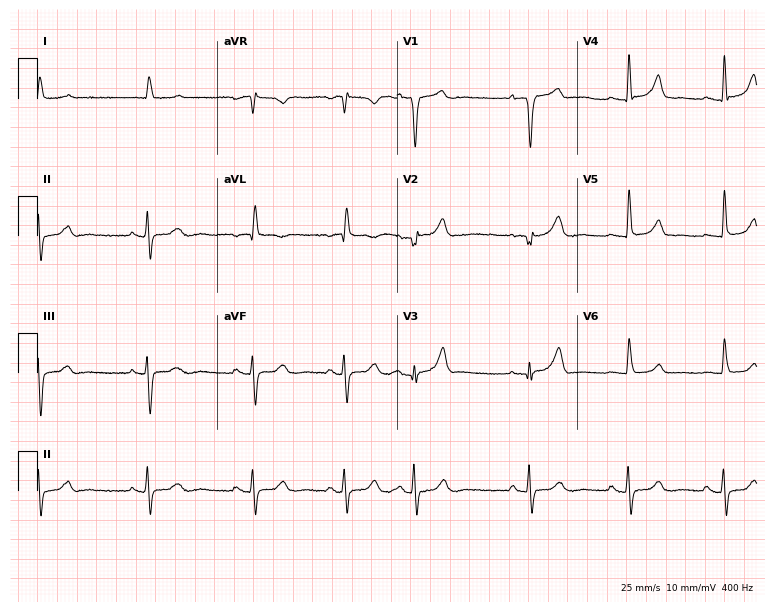
12-lead ECG from a woman, 77 years old (7.3-second recording at 400 Hz). No first-degree AV block, right bundle branch block (RBBB), left bundle branch block (LBBB), sinus bradycardia, atrial fibrillation (AF) or sinus tachycardia recorded for this tracing. Other findings, if any, are not listed.